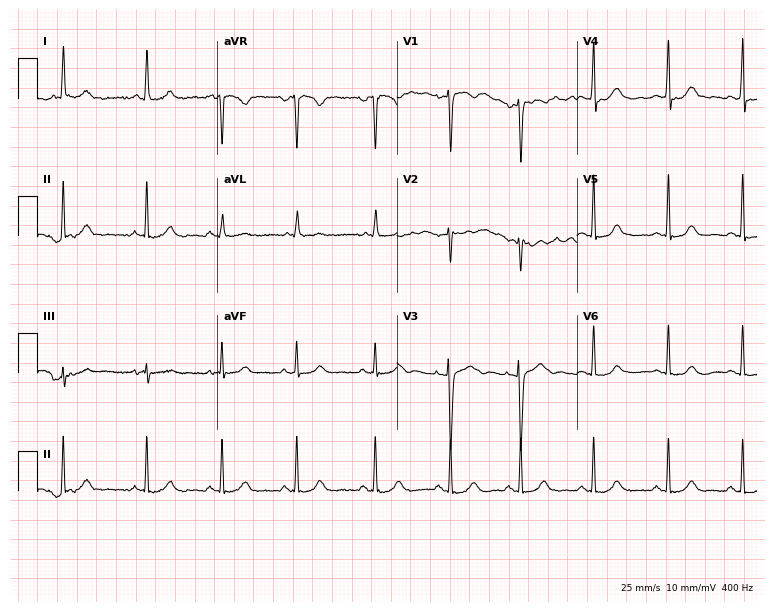
12-lead ECG from a woman, 34 years old. Screened for six findings — first-degree AV block, right bundle branch block, left bundle branch block, sinus bradycardia, atrial fibrillation, sinus tachycardia — none is recorded. Findings outside these six are not listed.